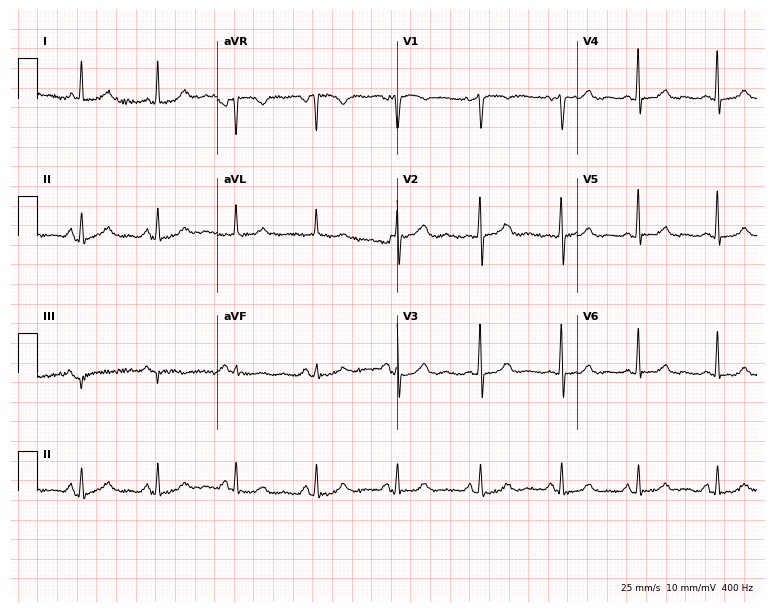
Standard 12-lead ECG recorded from a female, 69 years old. None of these six findings is recorded: first-degree AV block, right bundle branch block, left bundle branch block, sinus bradycardia, atrial fibrillation, sinus tachycardia. Findings outside these six are not listed.